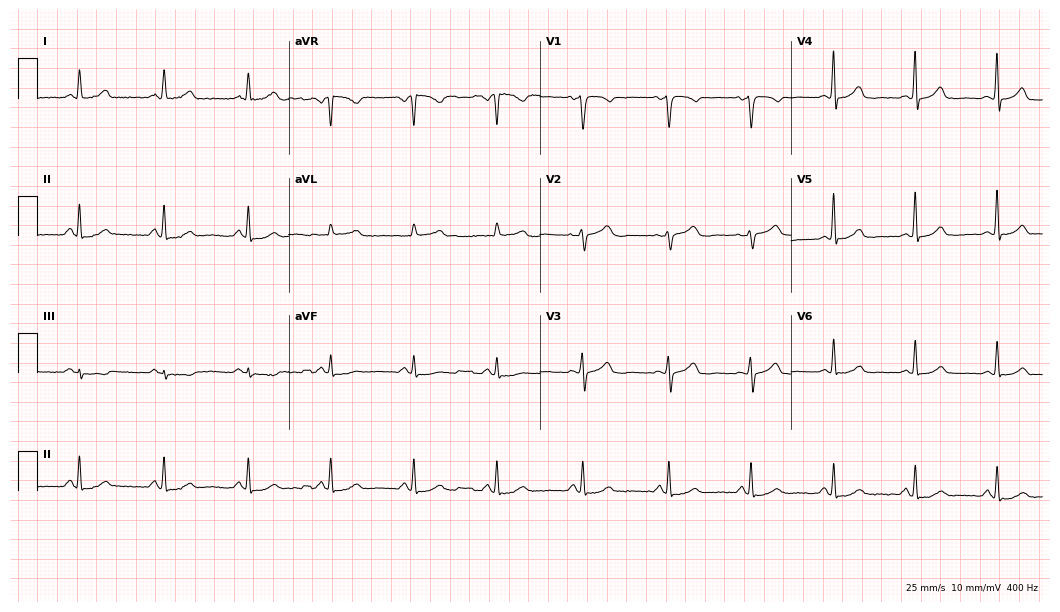
12-lead ECG from a 54-year-old woman (10.2-second recording at 400 Hz). Recorded interpretation: within normal limits.